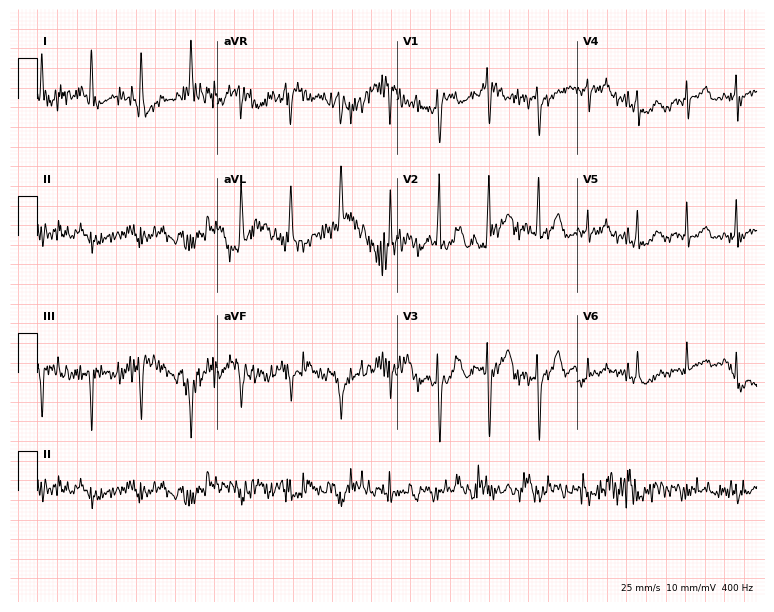
12-lead ECG from a 77-year-old female patient. No first-degree AV block, right bundle branch block, left bundle branch block, sinus bradycardia, atrial fibrillation or sinus tachycardia recorded for this tracing. Findings outside these six are not listed.